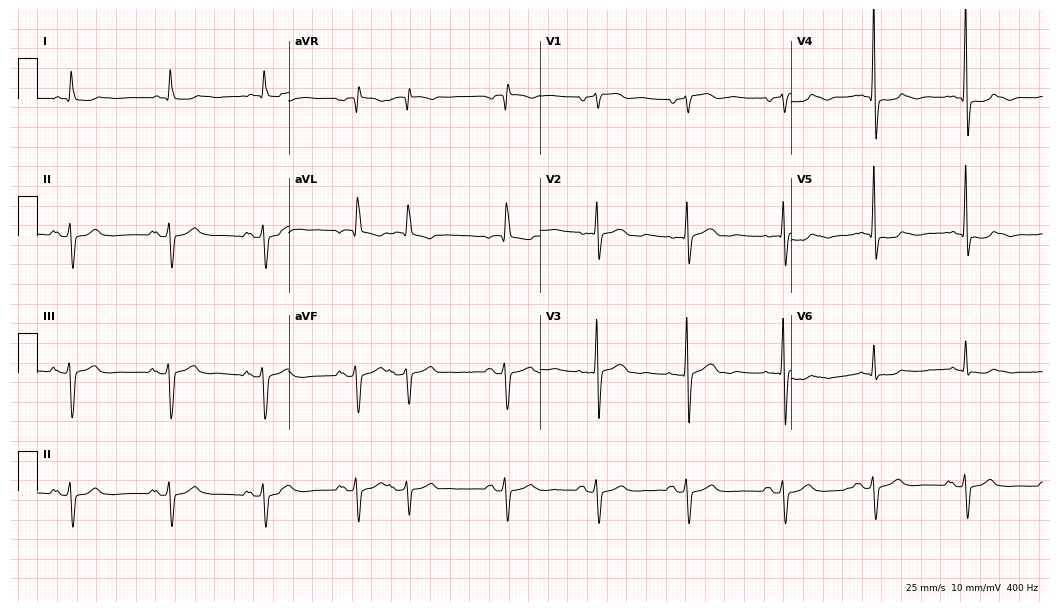
Electrocardiogram (10.2-second recording at 400 Hz), a 65-year-old male. Of the six screened findings (first-degree AV block, right bundle branch block, left bundle branch block, sinus bradycardia, atrial fibrillation, sinus tachycardia), none is recorded.